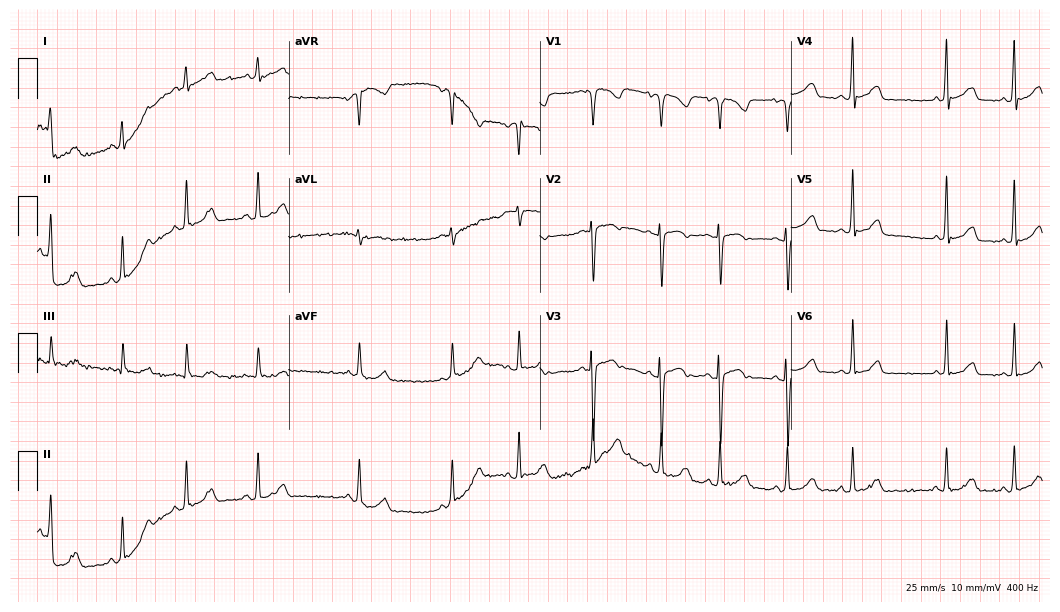
Resting 12-lead electrocardiogram. Patient: a female, 85 years old. Read as a normal ECG.